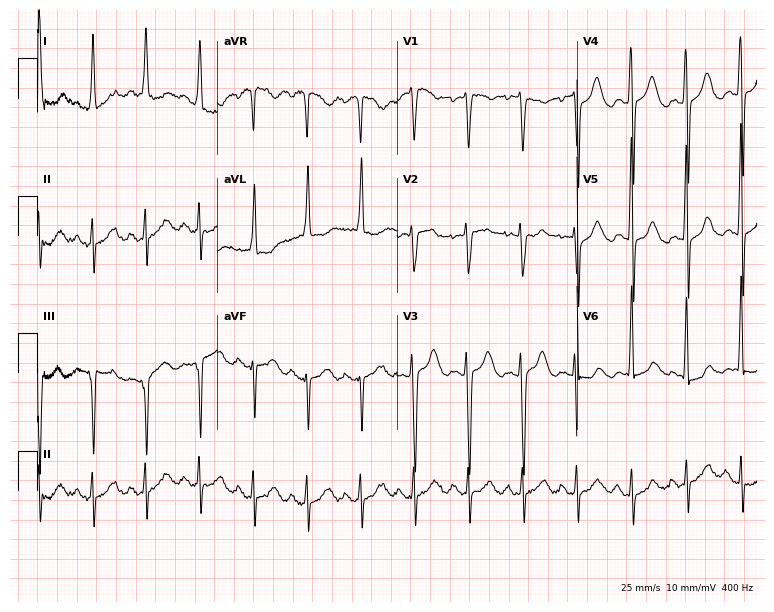
12-lead ECG (7.3-second recording at 400 Hz) from a woman, 50 years old. Findings include sinus tachycardia (a sinus rate of 100 beats per minute or more).